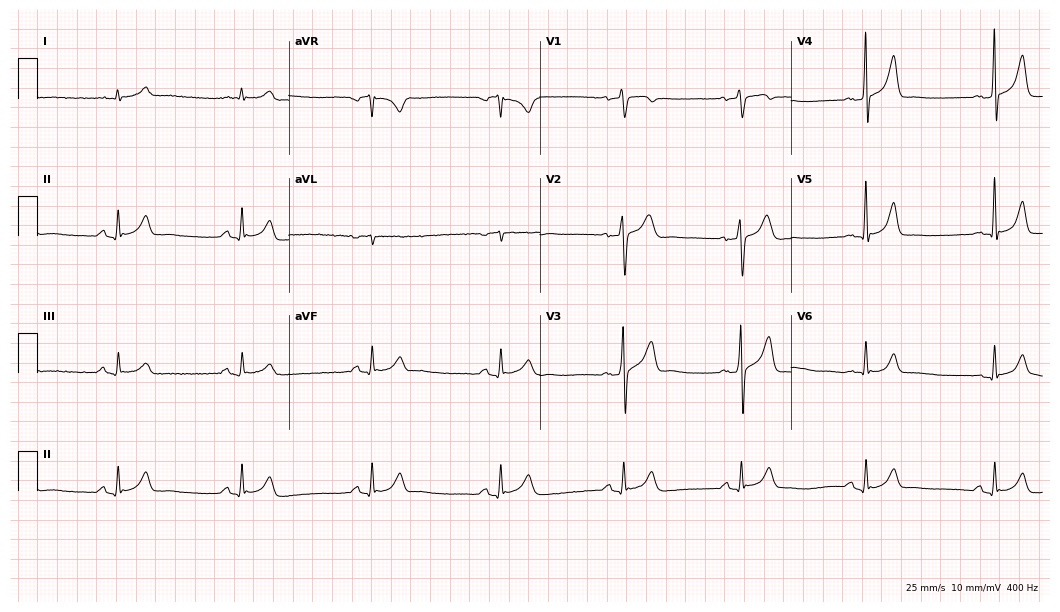
Resting 12-lead electrocardiogram. Patient: a male, 49 years old. The tracing shows sinus bradycardia (a sinus rate of 50 beats per minute or less).